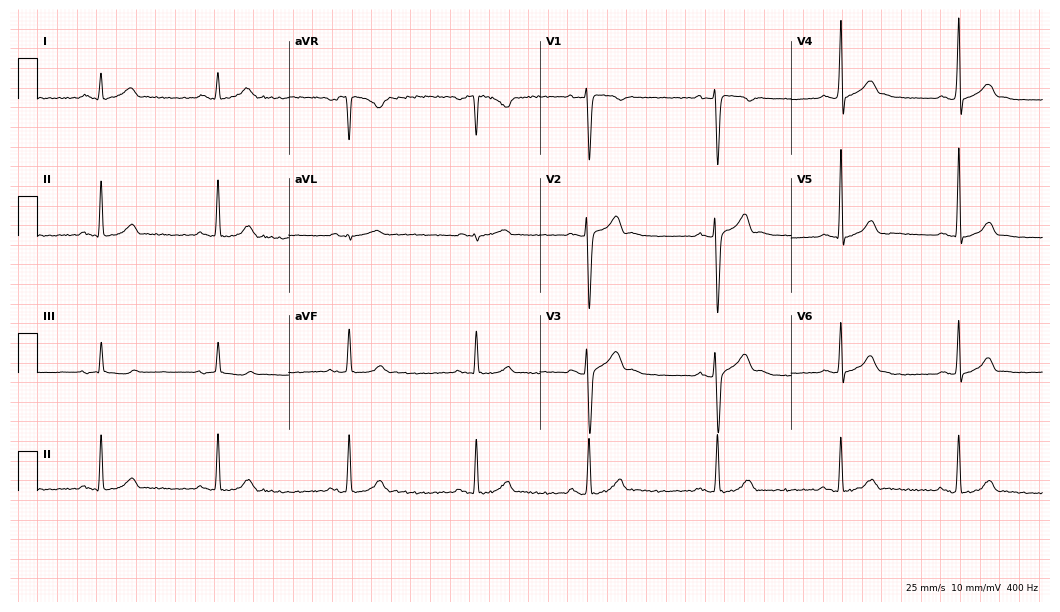
12-lead ECG from a 23-year-old male patient. Shows sinus bradycardia (a sinus rate of 50 beats per minute or less).